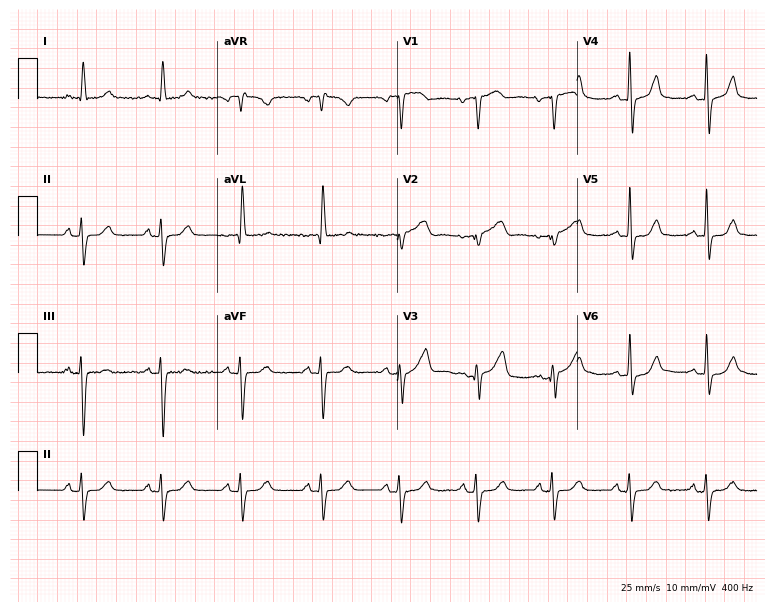
ECG (7.3-second recording at 400 Hz) — a female, 72 years old. Screened for six findings — first-degree AV block, right bundle branch block, left bundle branch block, sinus bradycardia, atrial fibrillation, sinus tachycardia — none is recorded. Findings outside these six are not listed.